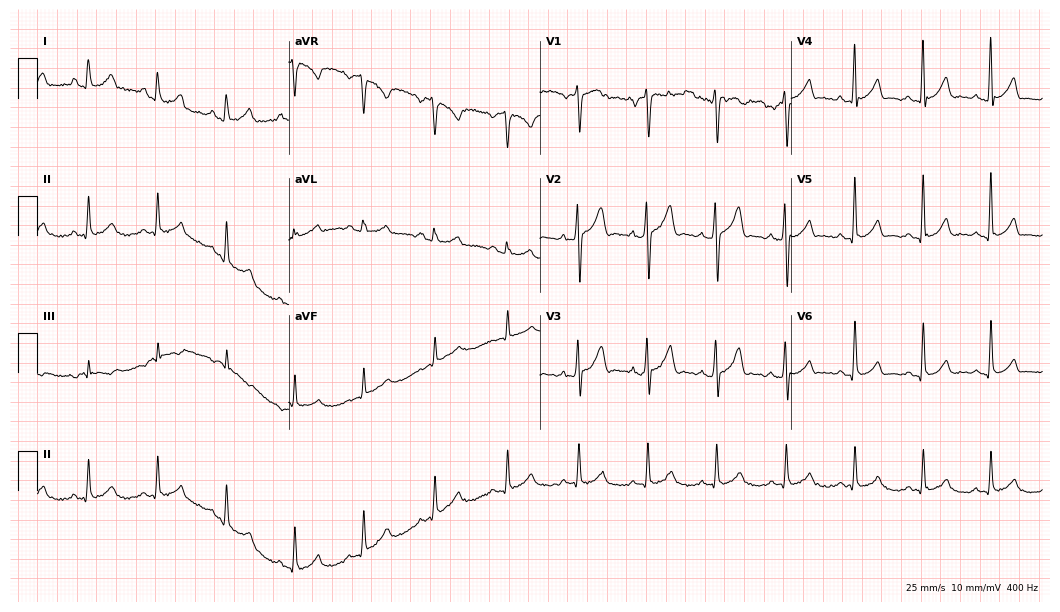
ECG (10.2-second recording at 400 Hz) — a 27-year-old man. Labelled as a normal ECG.